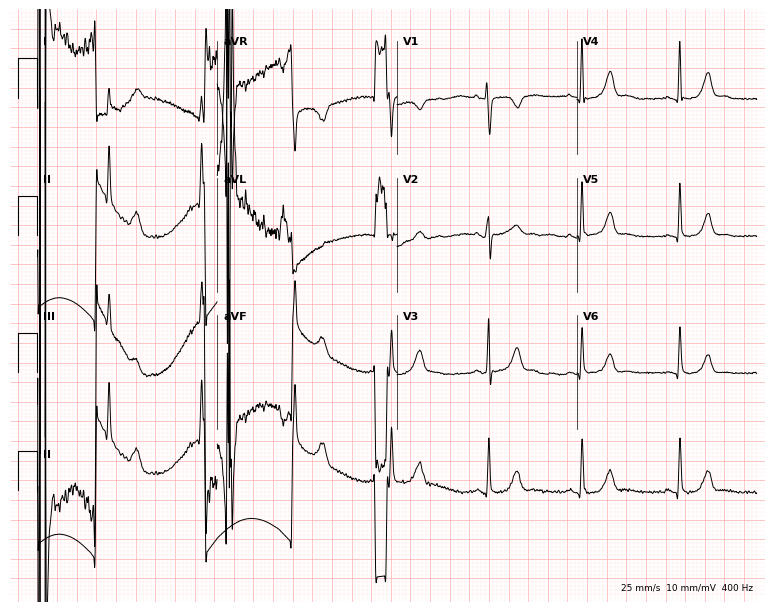
12-lead ECG from a 38-year-old female patient. Labelled as a normal ECG.